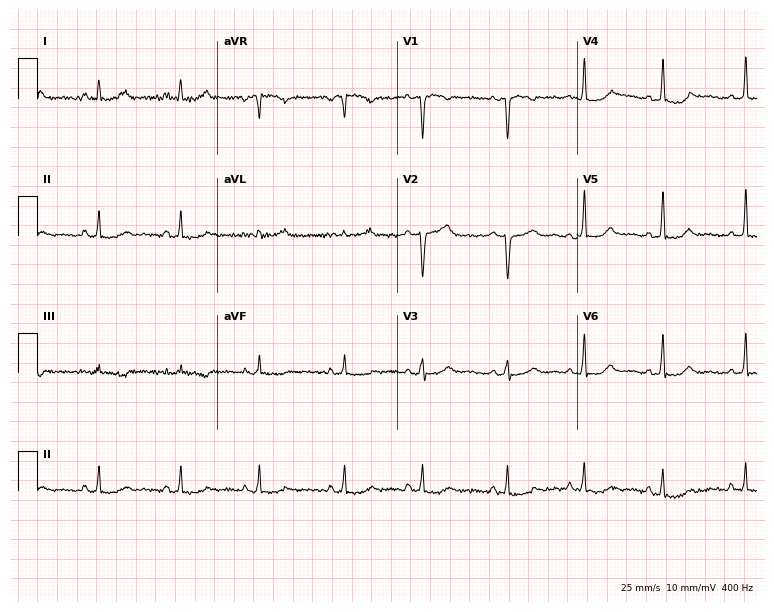
ECG — a female, 48 years old. Screened for six findings — first-degree AV block, right bundle branch block, left bundle branch block, sinus bradycardia, atrial fibrillation, sinus tachycardia — none is recorded. Other findings, if any, are not listed.